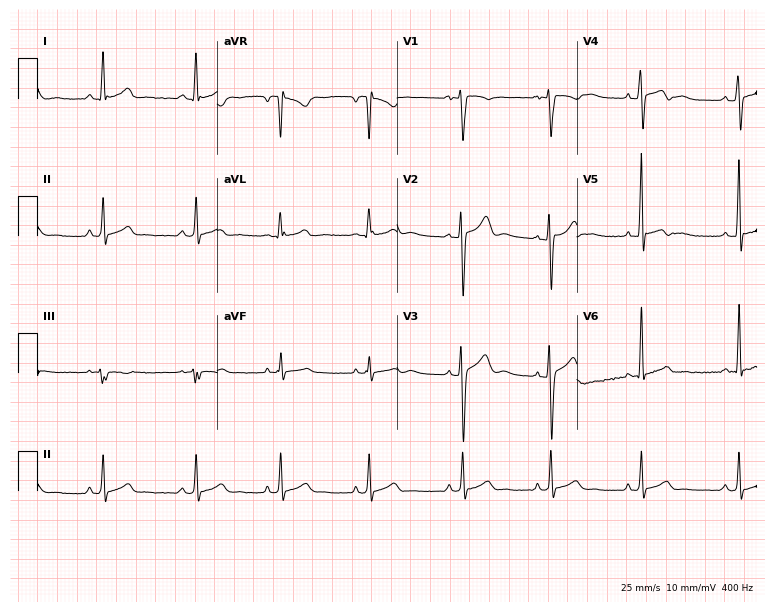
ECG — a 17-year-old man. Screened for six findings — first-degree AV block, right bundle branch block (RBBB), left bundle branch block (LBBB), sinus bradycardia, atrial fibrillation (AF), sinus tachycardia — none is recorded. Findings outside these six are not listed.